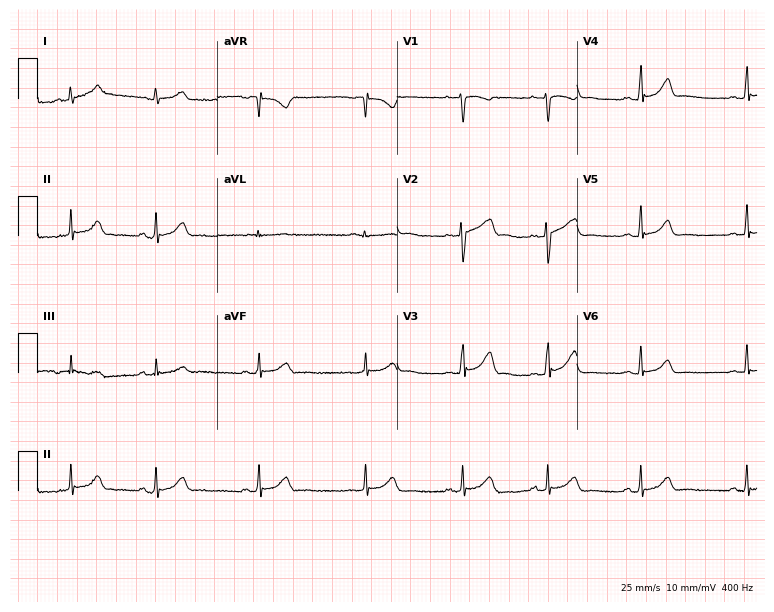
Resting 12-lead electrocardiogram. Patient: an 18-year-old woman. Read as a normal ECG.